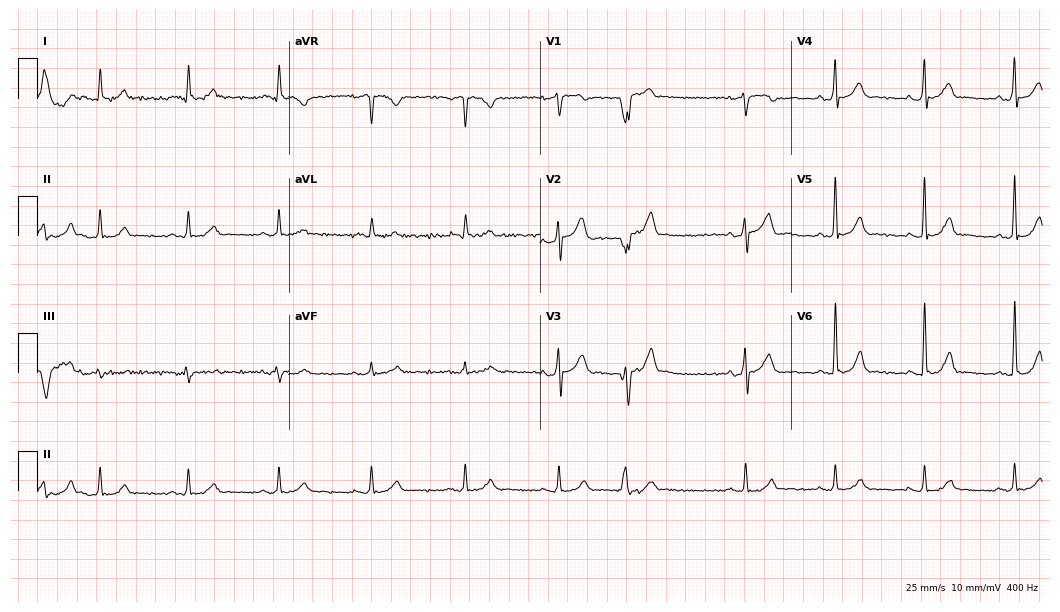
ECG — a man, 78 years old. Screened for six findings — first-degree AV block, right bundle branch block (RBBB), left bundle branch block (LBBB), sinus bradycardia, atrial fibrillation (AF), sinus tachycardia — none is recorded. Other findings, if any, are not listed.